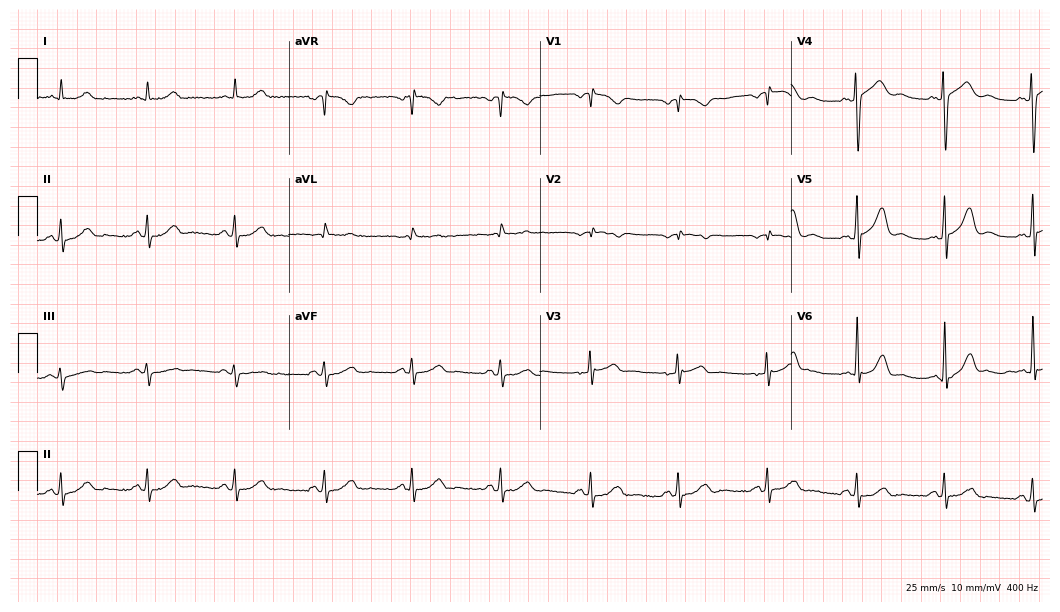
12-lead ECG (10.2-second recording at 400 Hz) from a 71-year-old man. Screened for six findings — first-degree AV block, right bundle branch block, left bundle branch block, sinus bradycardia, atrial fibrillation, sinus tachycardia — none is recorded.